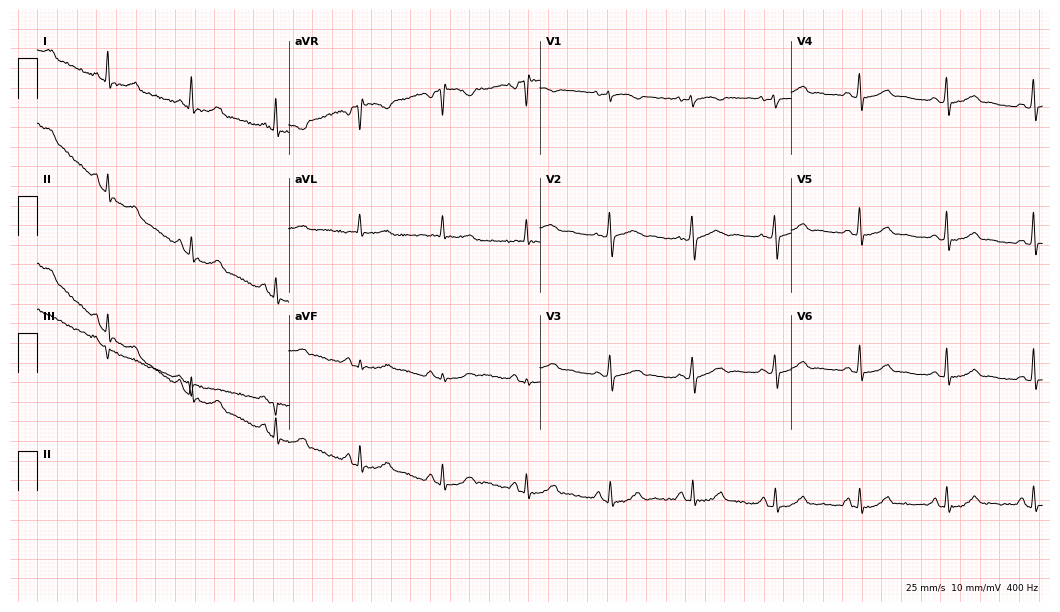
Resting 12-lead electrocardiogram (10.2-second recording at 400 Hz). Patient: a woman, 54 years old. Read as a normal ECG.